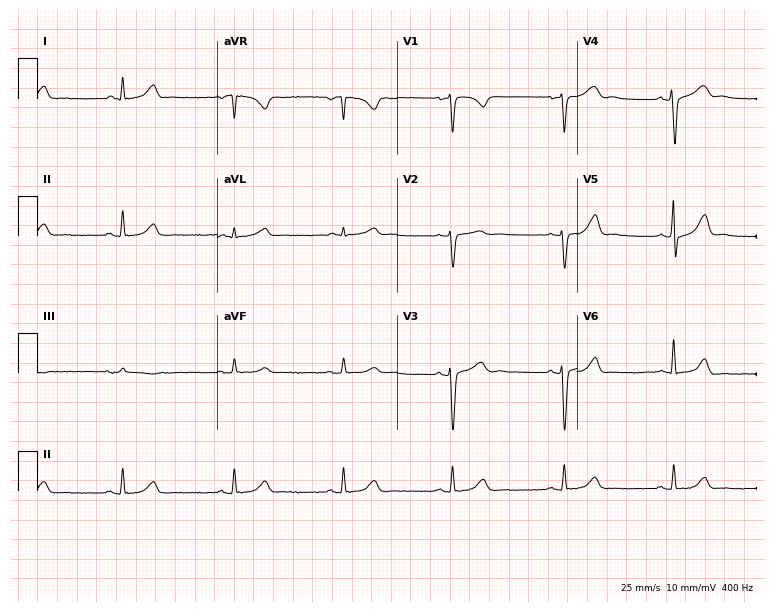
12-lead ECG (7.3-second recording at 400 Hz) from a female, 51 years old. Screened for six findings — first-degree AV block, right bundle branch block, left bundle branch block, sinus bradycardia, atrial fibrillation, sinus tachycardia — none is recorded. Findings outside these six are not listed.